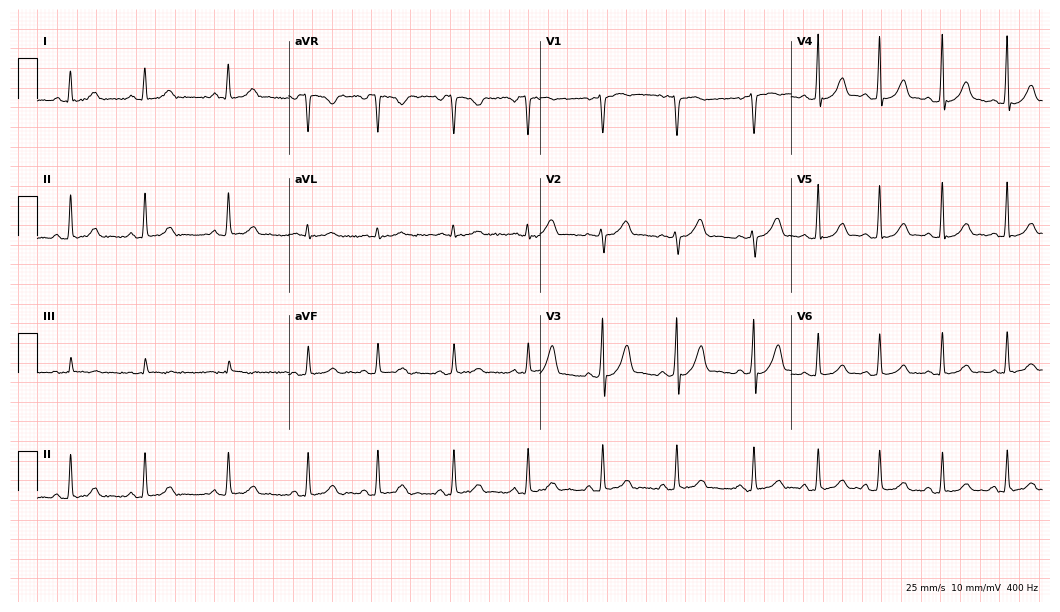
Electrocardiogram, a 32-year-old female. Overall reading on record: normal ECG.